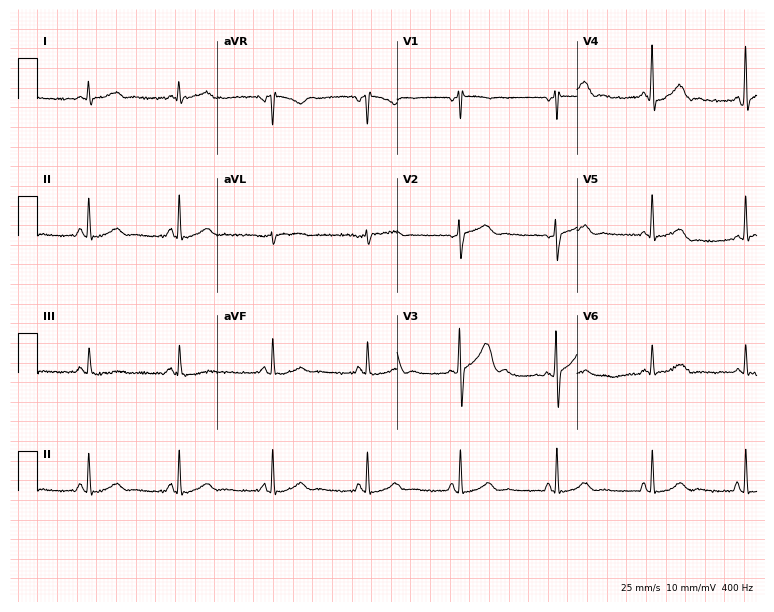
12-lead ECG from a 53-year-old male. No first-degree AV block, right bundle branch block, left bundle branch block, sinus bradycardia, atrial fibrillation or sinus tachycardia recorded for this tracing.